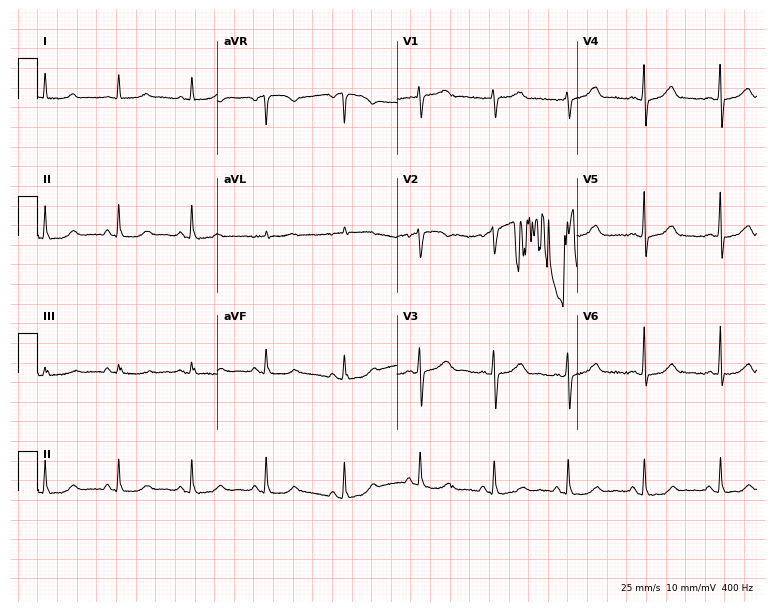
Standard 12-lead ECG recorded from a woman, 53 years old (7.3-second recording at 400 Hz). Read as a normal ECG.